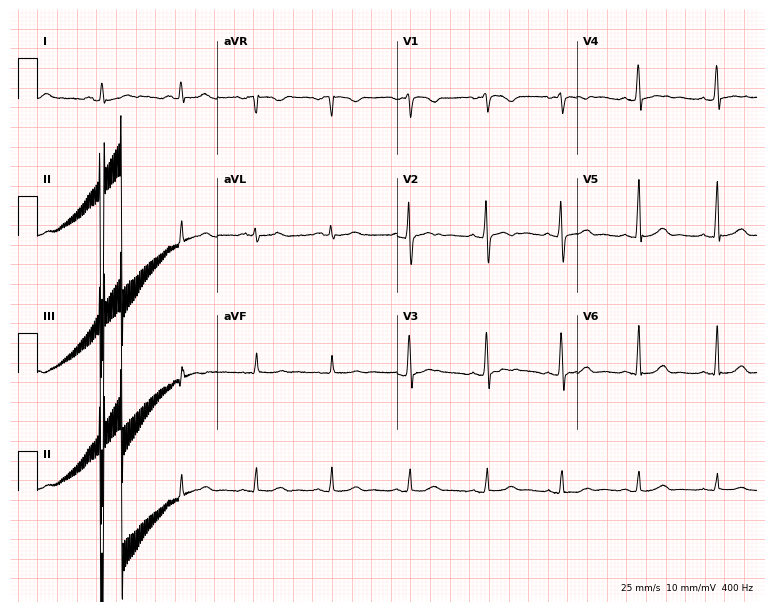
Resting 12-lead electrocardiogram. Patient: a 27-year-old female. None of these six findings is recorded: first-degree AV block, right bundle branch block, left bundle branch block, sinus bradycardia, atrial fibrillation, sinus tachycardia.